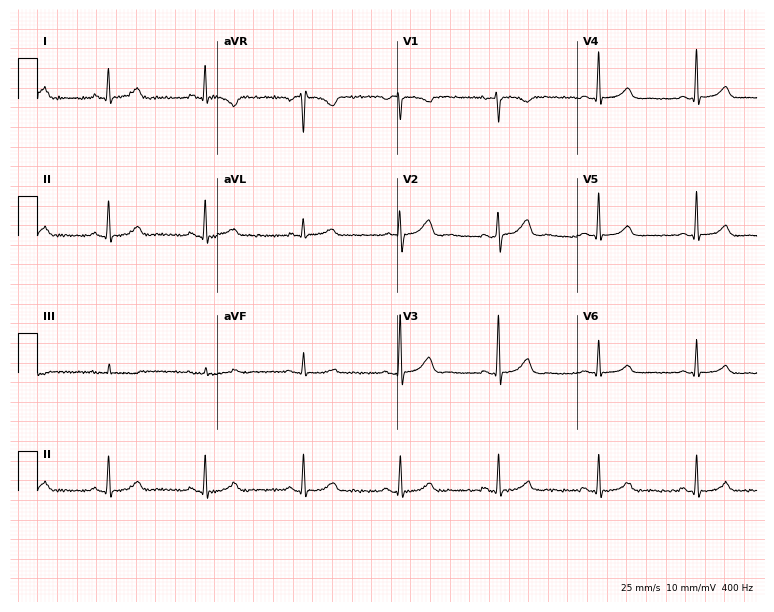
Electrocardiogram (7.3-second recording at 400 Hz), a female patient, 63 years old. Of the six screened findings (first-degree AV block, right bundle branch block, left bundle branch block, sinus bradycardia, atrial fibrillation, sinus tachycardia), none is recorded. Other findings, if any, are not listed.